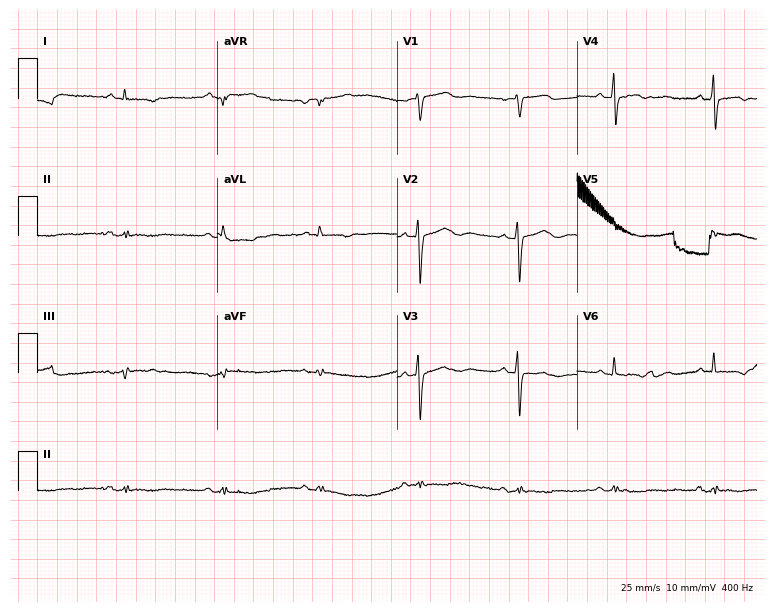
ECG (7.3-second recording at 400 Hz) — a man, 85 years old. Screened for six findings — first-degree AV block, right bundle branch block (RBBB), left bundle branch block (LBBB), sinus bradycardia, atrial fibrillation (AF), sinus tachycardia — none is recorded. Findings outside these six are not listed.